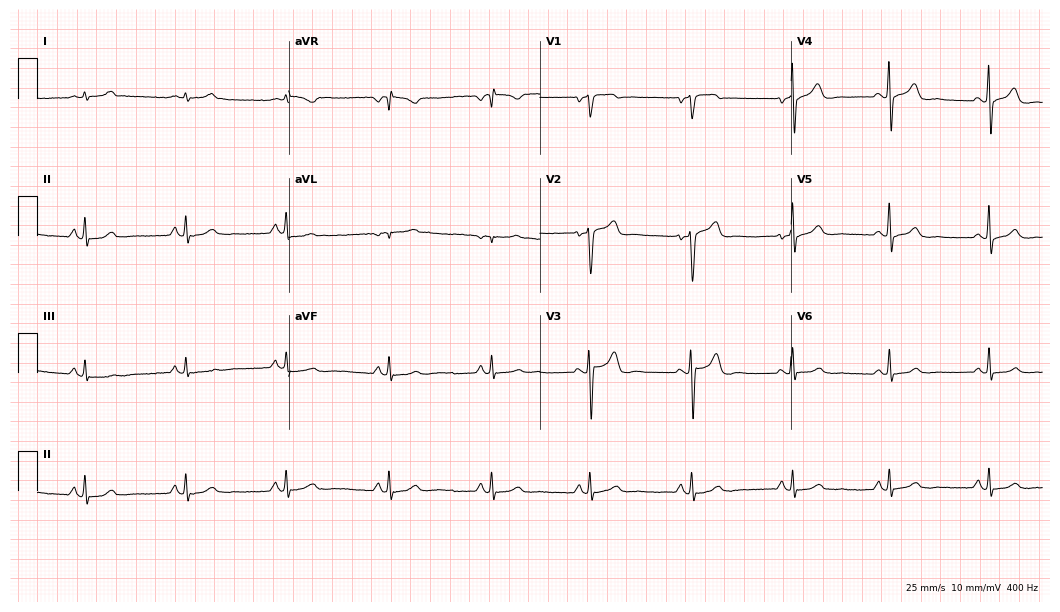
Resting 12-lead electrocardiogram (10.2-second recording at 400 Hz). Patient: a 35-year-old male. Read as a normal ECG.